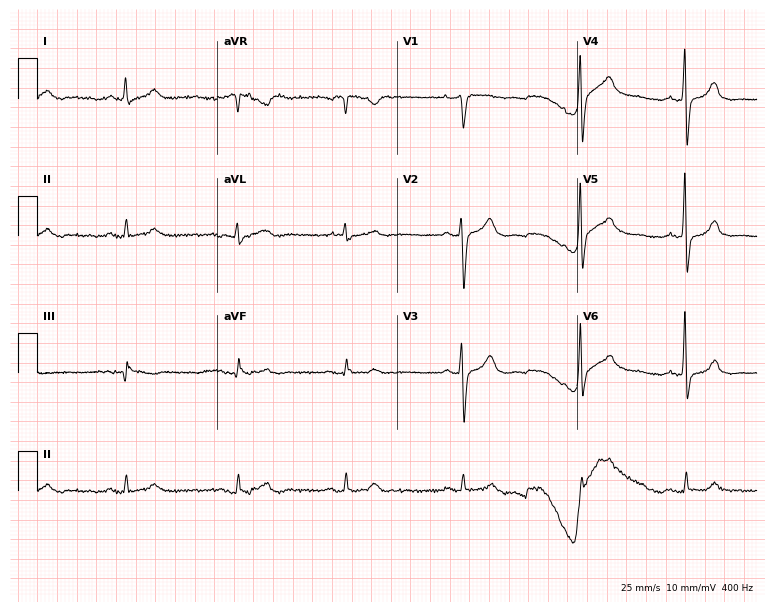
12-lead ECG (7.3-second recording at 400 Hz) from a female patient, 70 years old. Screened for six findings — first-degree AV block, right bundle branch block, left bundle branch block, sinus bradycardia, atrial fibrillation, sinus tachycardia — none is recorded. Findings outside these six are not listed.